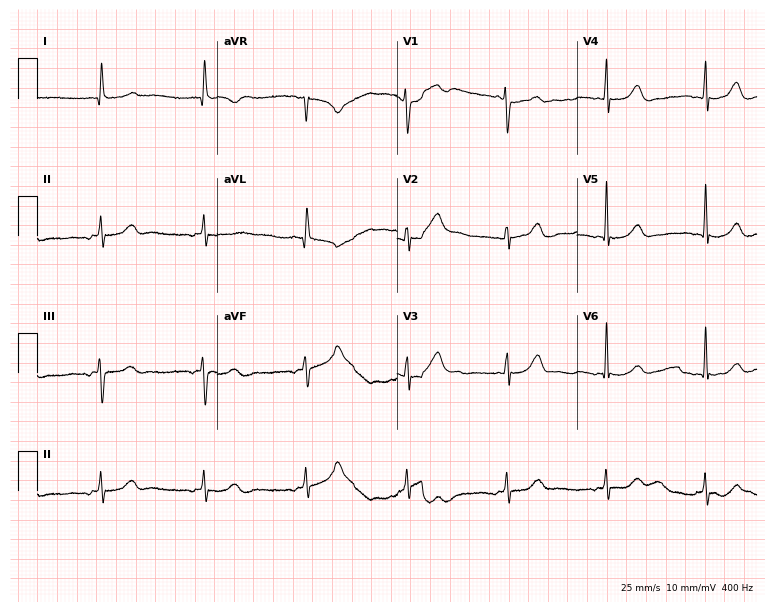
Resting 12-lead electrocardiogram. Patient: a woman, 48 years old. None of these six findings is recorded: first-degree AV block, right bundle branch block, left bundle branch block, sinus bradycardia, atrial fibrillation, sinus tachycardia. Findings outside these six are not listed.